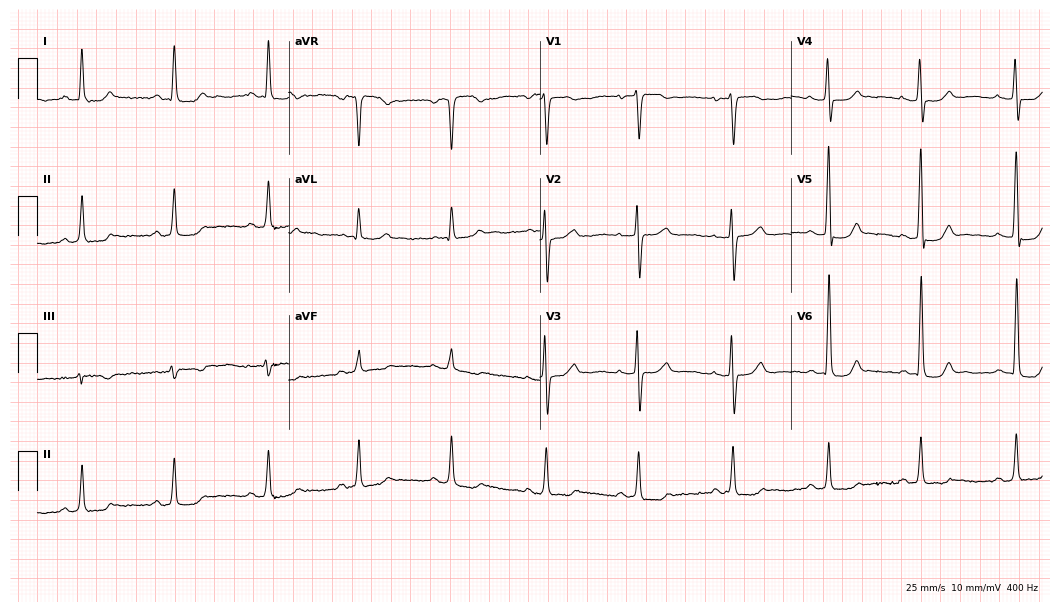
12-lead ECG from a 43-year-old male patient. Recorded interpretation: within normal limits.